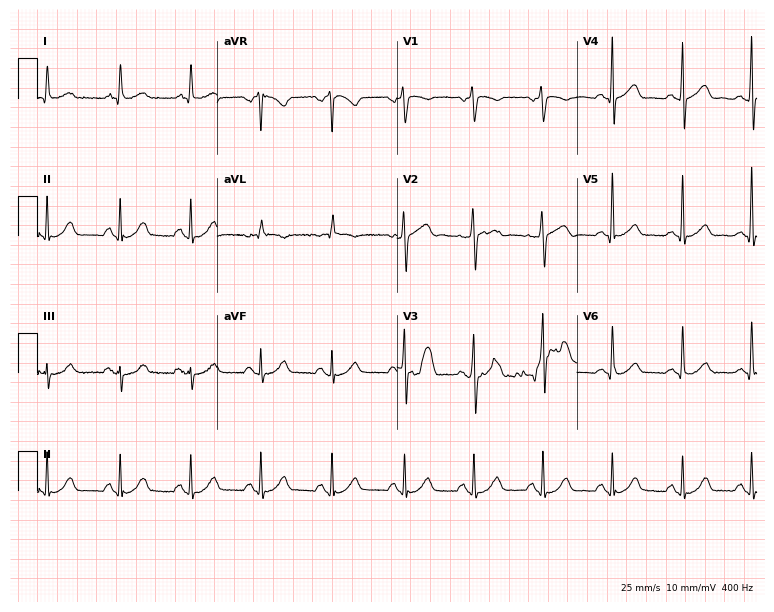
12-lead ECG from a 71-year-old male. Recorded interpretation: within normal limits.